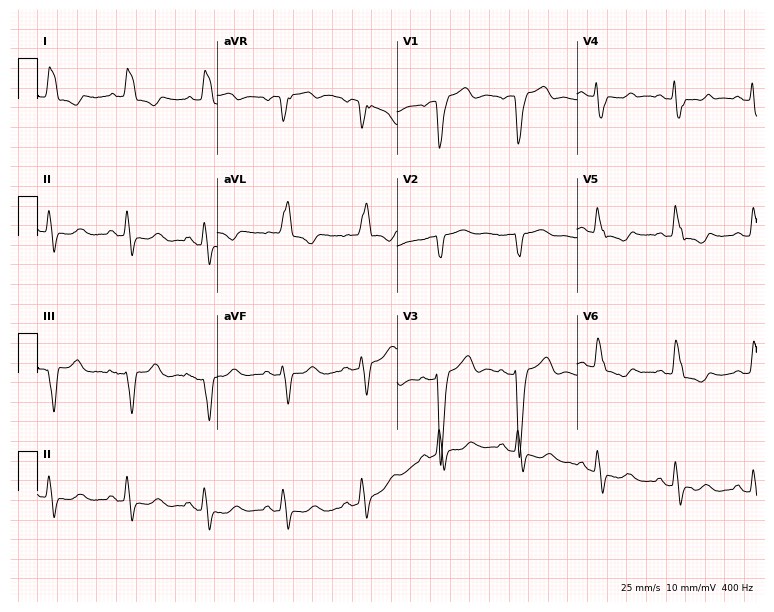
12-lead ECG from a female patient, 71 years old. Findings include left bundle branch block (LBBB).